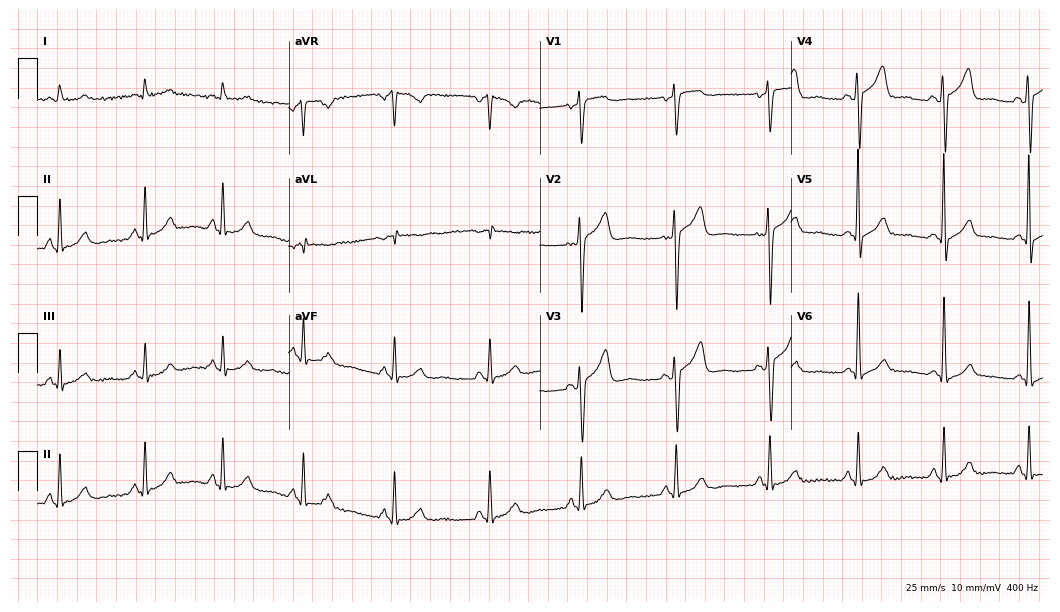
Standard 12-lead ECG recorded from a 50-year-old male patient (10.2-second recording at 400 Hz). Read as a normal ECG.